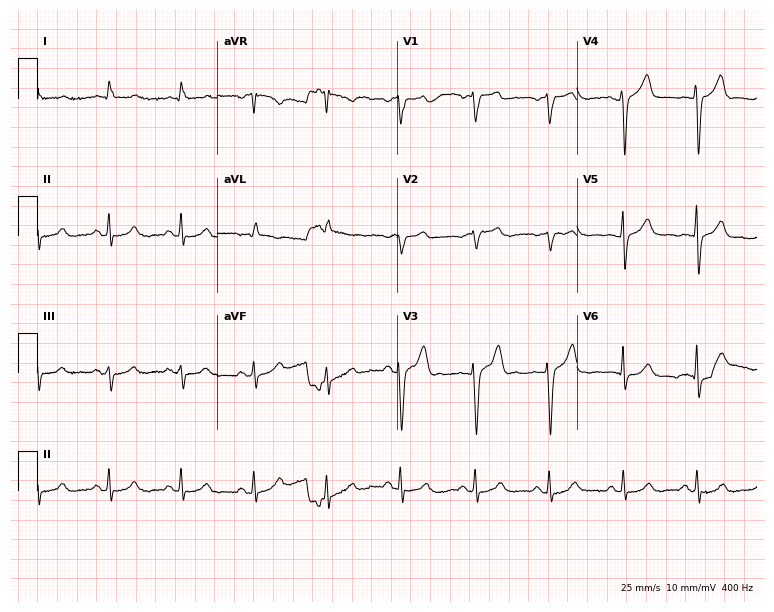
Resting 12-lead electrocardiogram. Patient: a male, 67 years old. Read as a normal ECG.